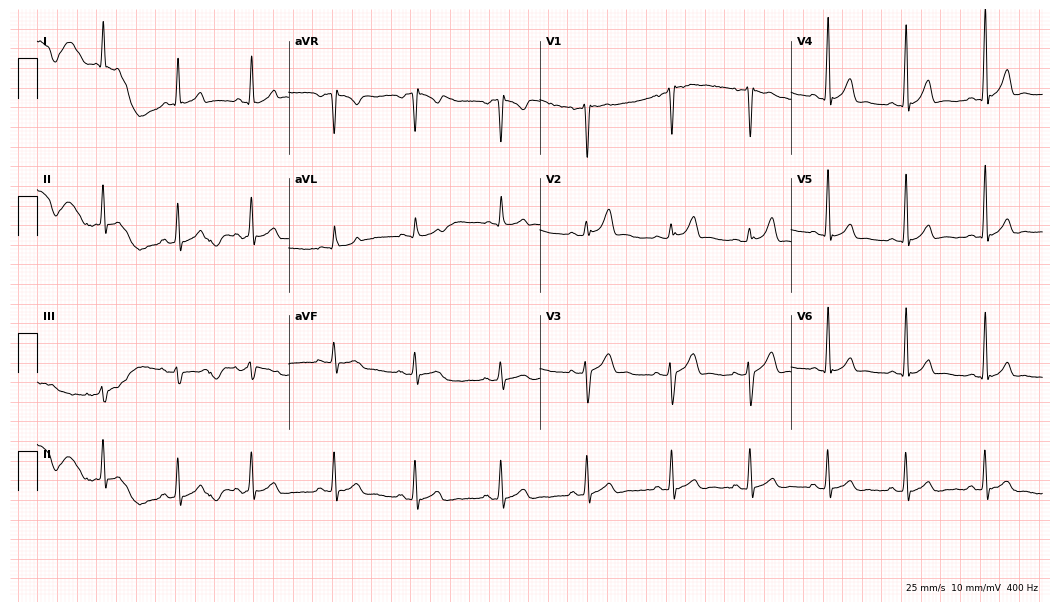
12-lead ECG (10.2-second recording at 400 Hz) from a male patient, 20 years old. Screened for six findings — first-degree AV block, right bundle branch block (RBBB), left bundle branch block (LBBB), sinus bradycardia, atrial fibrillation (AF), sinus tachycardia — none is recorded. Only these six findings were labelled.